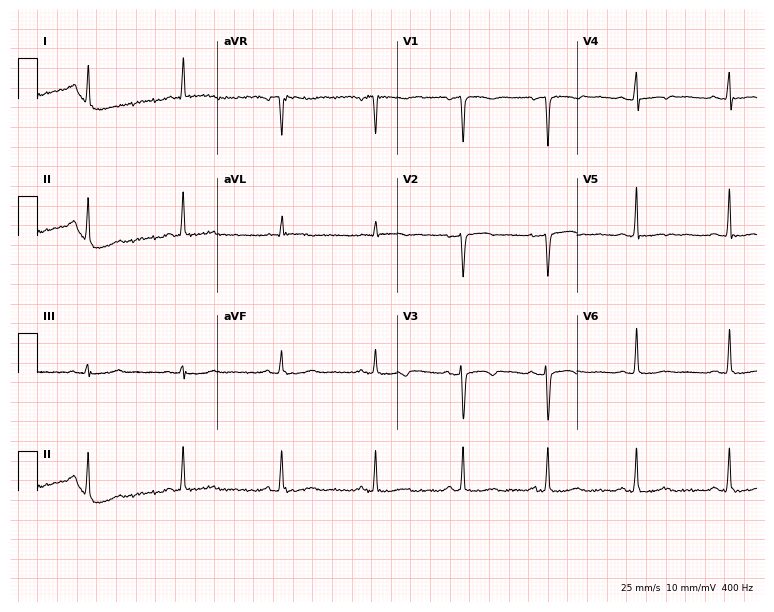
12-lead ECG from a 38-year-old woman. Labelled as a normal ECG.